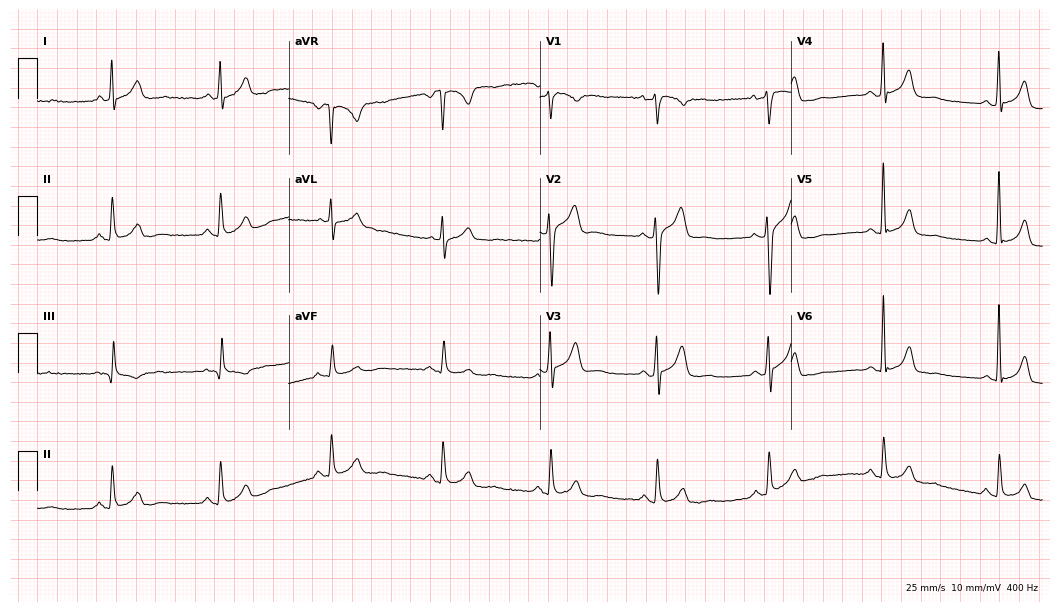
Resting 12-lead electrocardiogram (10.2-second recording at 400 Hz). Patient: a 47-year-old man. Read as a normal ECG.